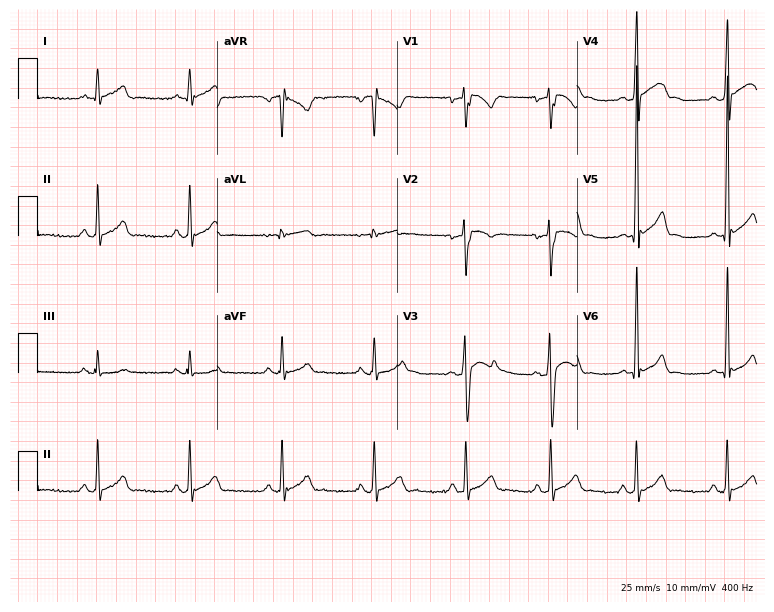
ECG (7.3-second recording at 400 Hz) — a man, 19 years old. Labelled as a normal ECG.